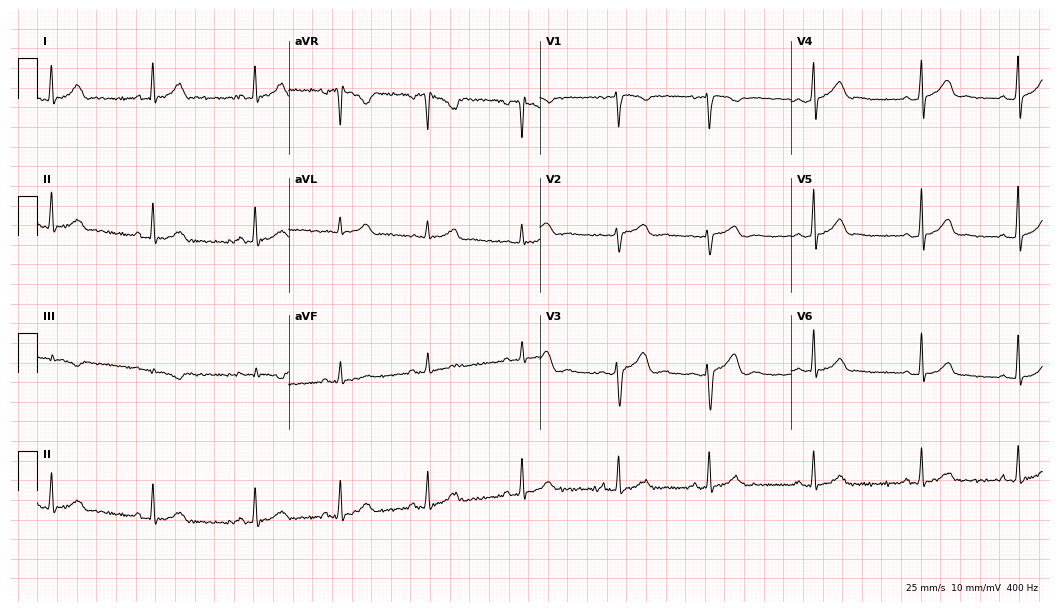
Resting 12-lead electrocardiogram (10.2-second recording at 400 Hz). Patient: a 27-year-old woman. Read as a normal ECG.